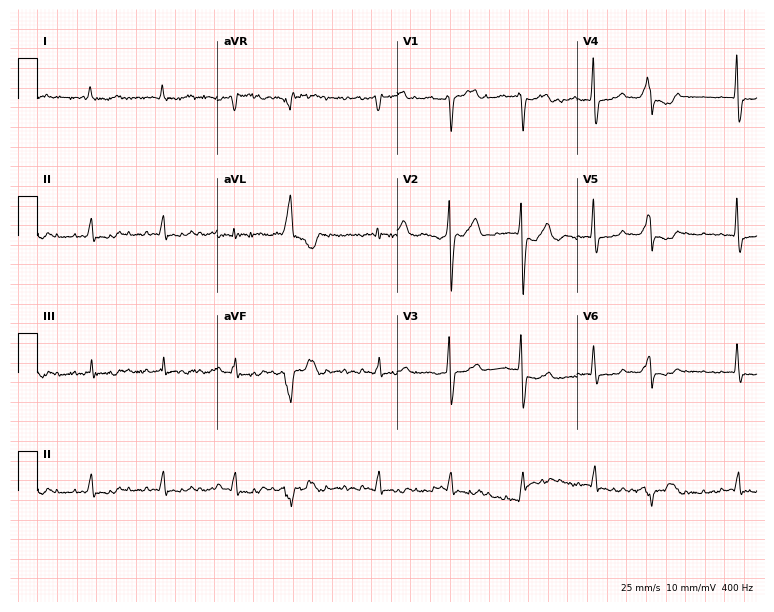
Standard 12-lead ECG recorded from a 76-year-old male patient. None of these six findings is recorded: first-degree AV block, right bundle branch block (RBBB), left bundle branch block (LBBB), sinus bradycardia, atrial fibrillation (AF), sinus tachycardia.